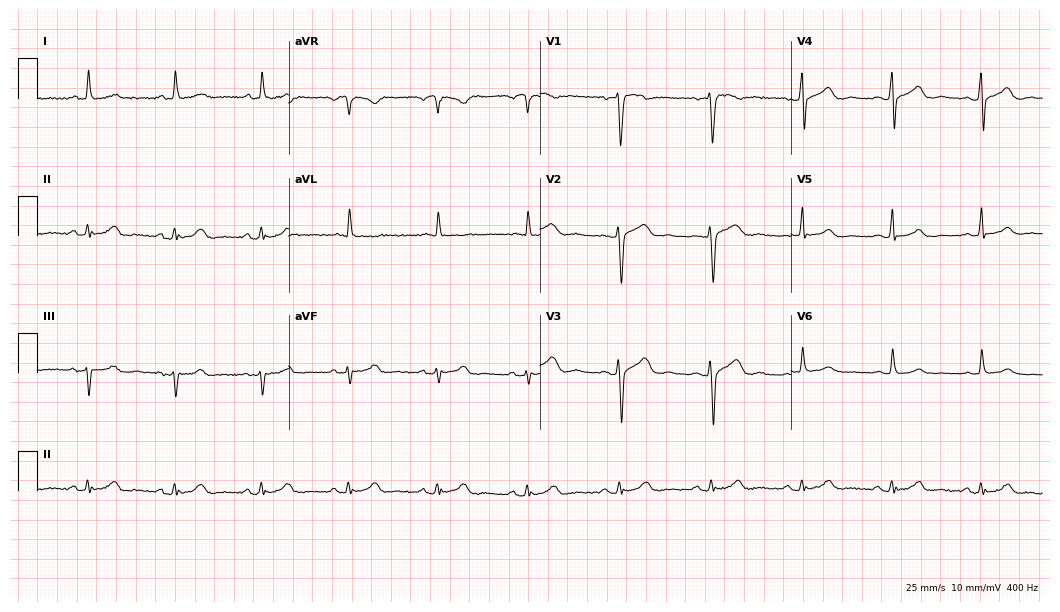
Resting 12-lead electrocardiogram. Patient: a woman, 61 years old. Read as a normal ECG.